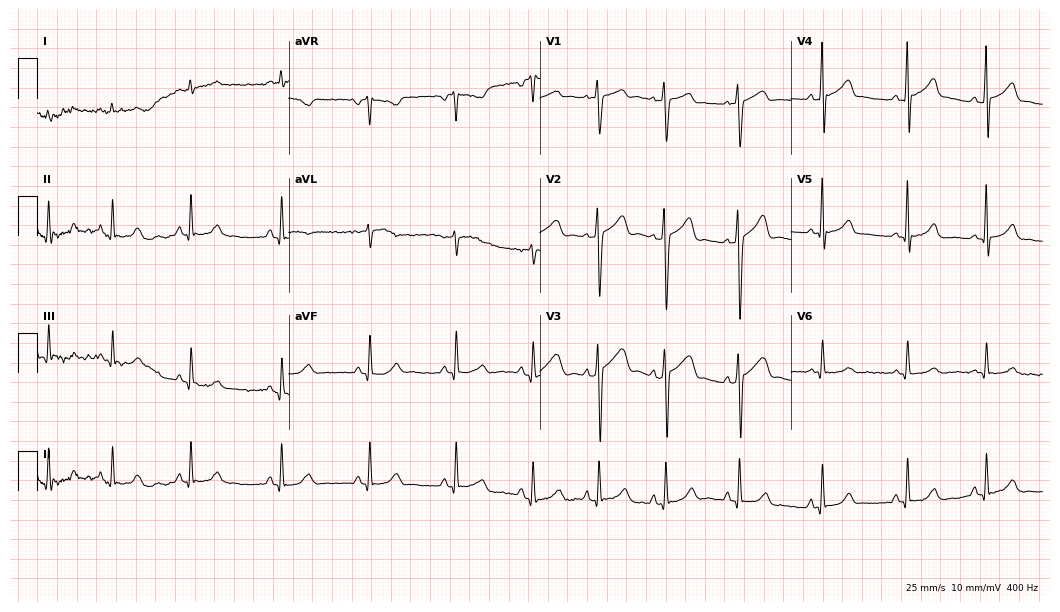
ECG — a male, 21 years old. Labelled as a normal ECG.